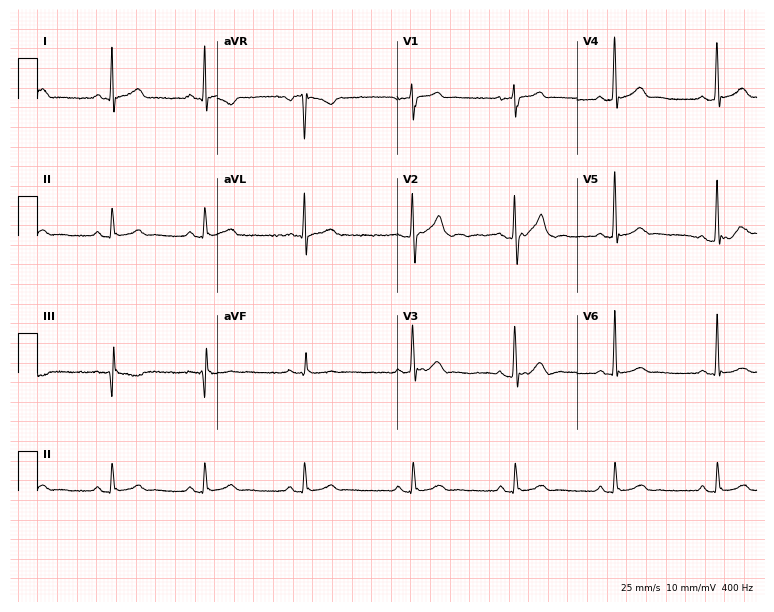
Standard 12-lead ECG recorded from a 32-year-old man. None of these six findings is recorded: first-degree AV block, right bundle branch block, left bundle branch block, sinus bradycardia, atrial fibrillation, sinus tachycardia.